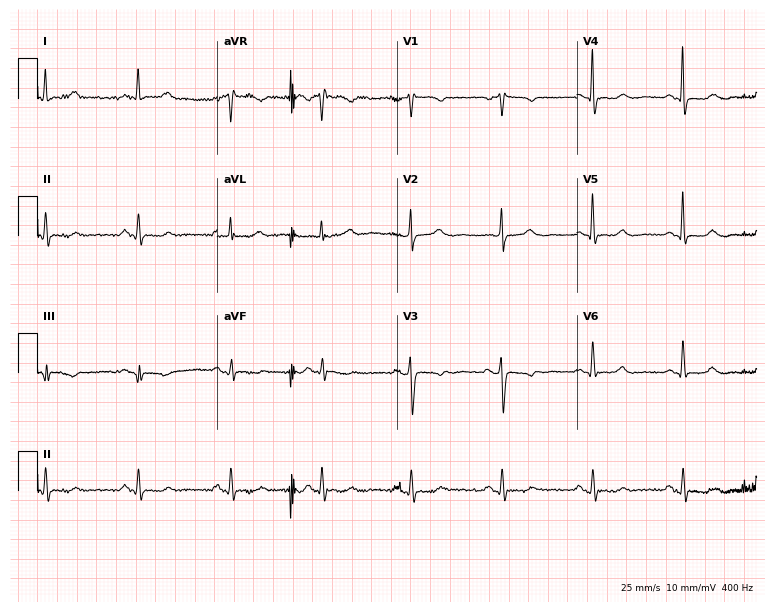
Electrocardiogram, a 50-year-old female. Of the six screened findings (first-degree AV block, right bundle branch block (RBBB), left bundle branch block (LBBB), sinus bradycardia, atrial fibrillation (AF), sinus tachycardia), none is recorded. Other findings, if any, are not listed.